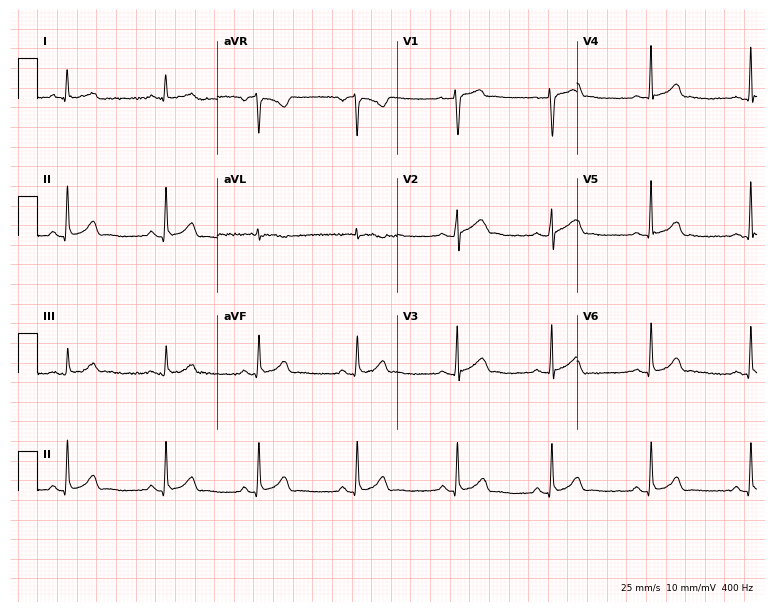
Standard 12-lead ECG recorded from a male, 35 years old. Read as a normal ECG.